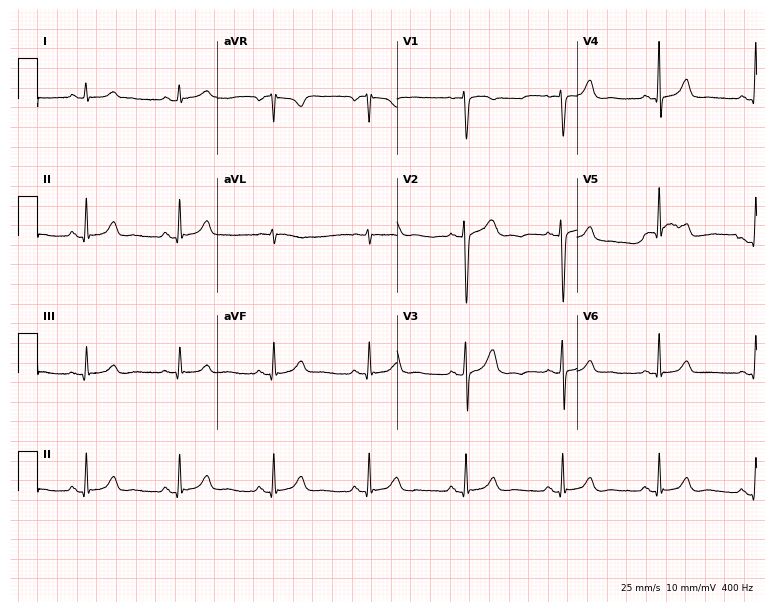
12-lead ECG from a 44-year-old woman (7.3-second recording at 400 Hz). Recorded interpretation: within normal limits.